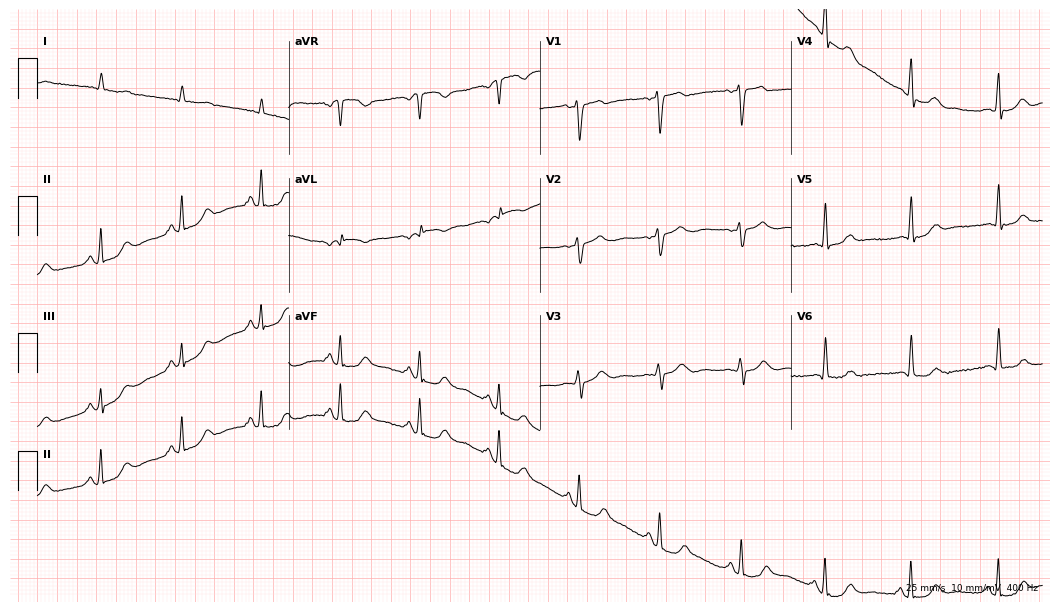
12-lead ECG (10.2-second recording at 400 Hz) from a man, 54 years old. Screened for six findings — first-degree AV block, right bundle branch block (RBBB), left bundle branch block (LBBB), sinus bradycardia, atrial fibrillation (AF), sinus tachycardia — none is recorded.